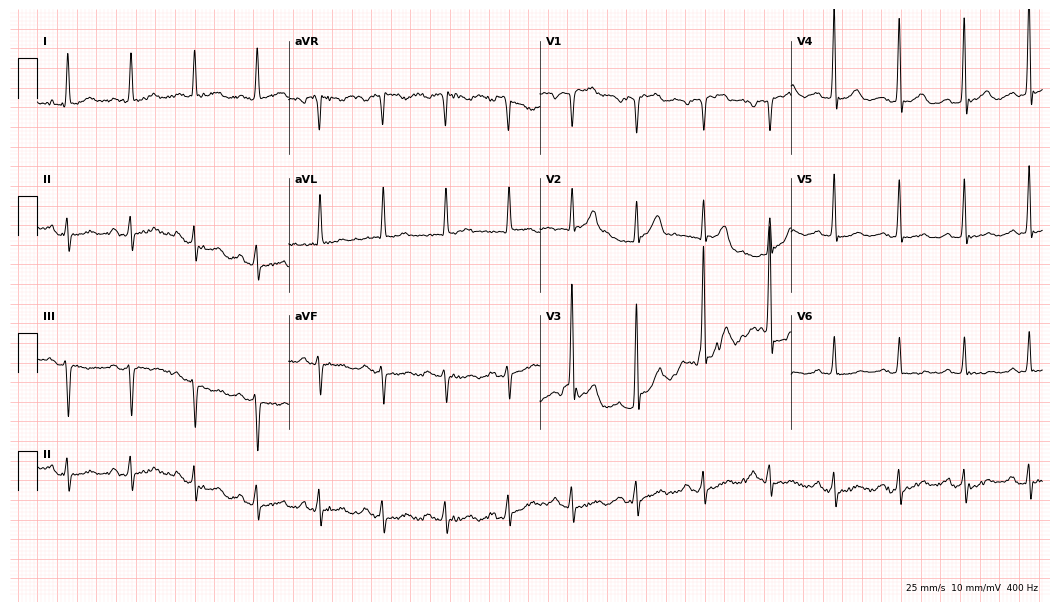
12-lead ECG from a male, 73 years old (10.2-second recording at 400 Hz). Recorded interpretation: within normal limits.